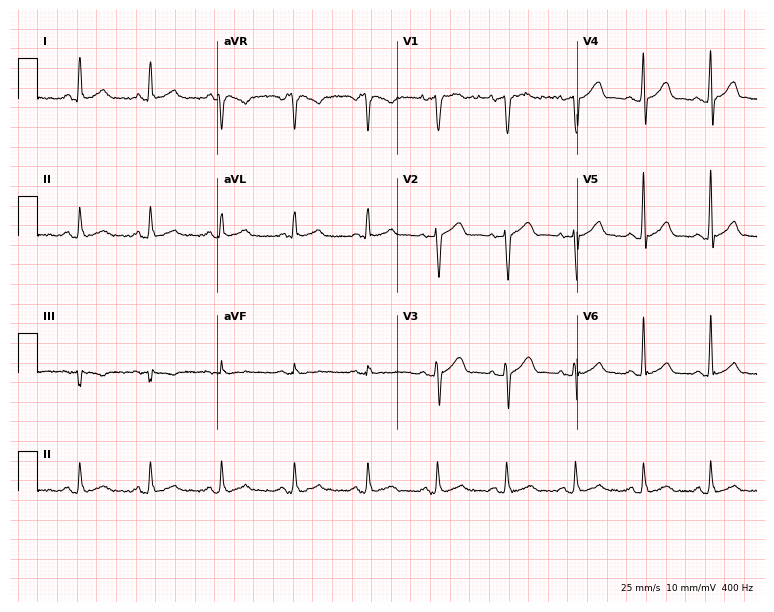
Resting 12-lead electrocardiogram (7.3-second recording at 400 Hz). Patient: a 28-year-old man. Read as a normal ECG.